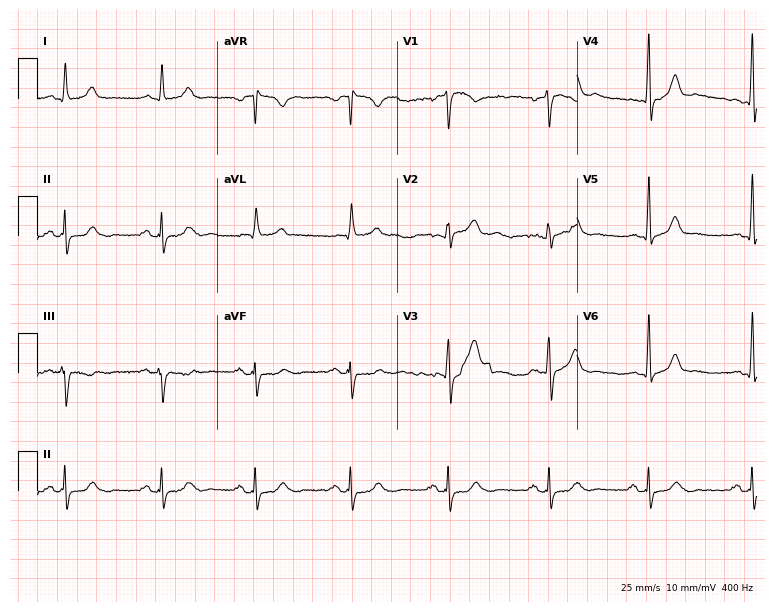
12-lead ECG from a man, 62 years old. Labelled as a normal ECG.